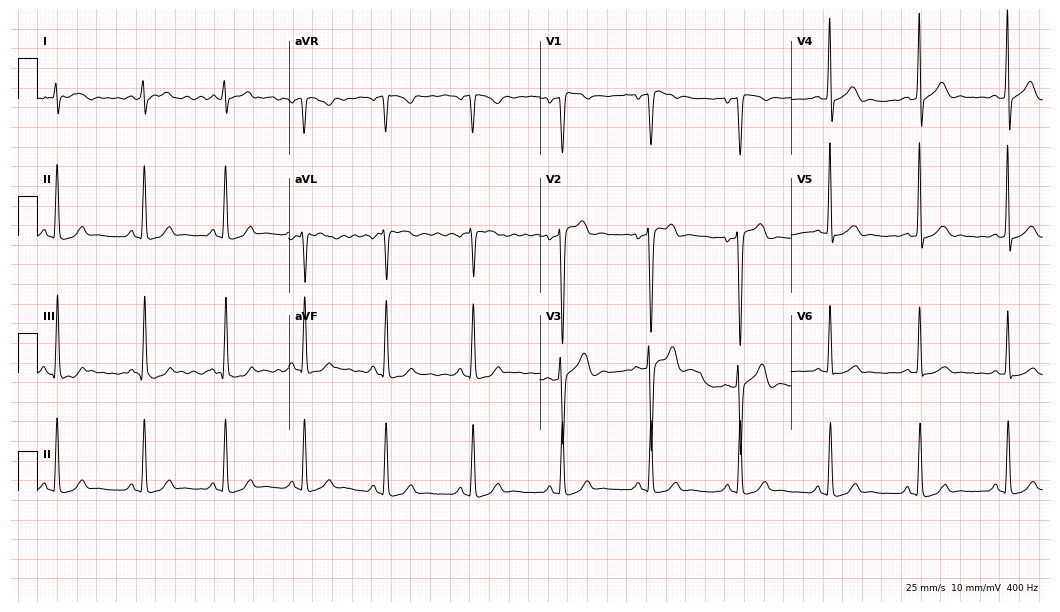
12-lead ECG from a 40-year-old man (10.2-second recording at 400 Hz). Recorded interpretation: within normal limits.